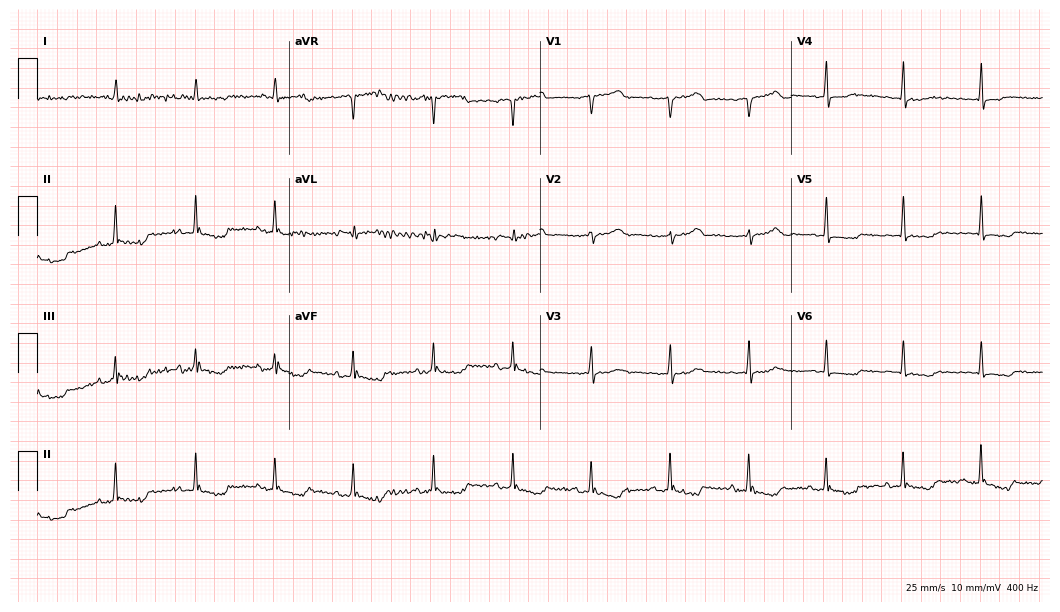
ECG — a 25-year-old man. Screened for six findings — first-degree AV block, right bundle branch block, left bundle branch block, sinus bradycardia, atrial fibrillation, sinus tachycardia — none is recorded. Other findings, if any, are not listed.